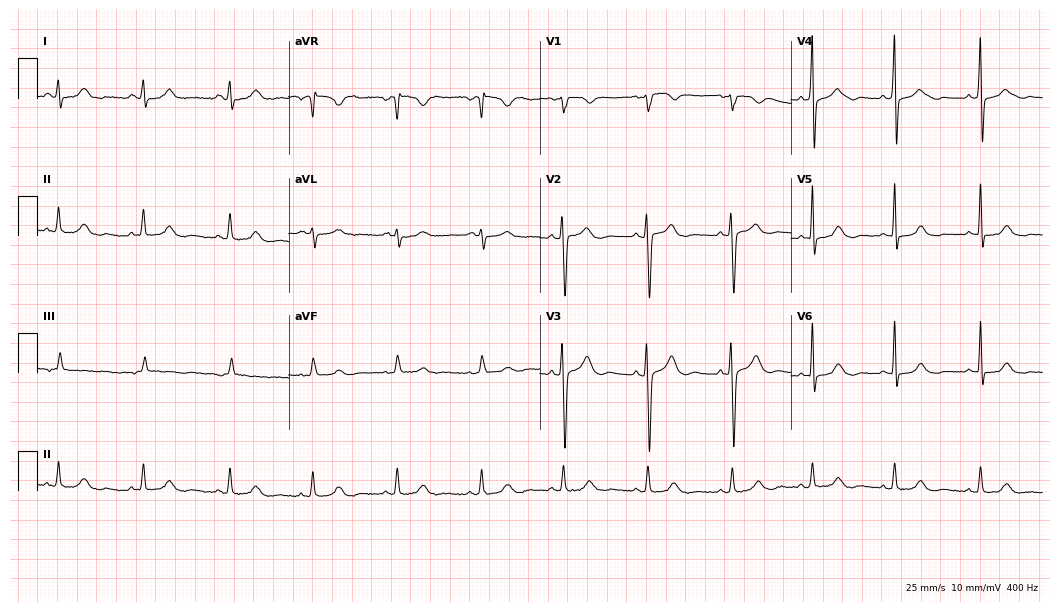
Electrocardiogram (10.2-second recording at 400 Hz), a 24-year-old female. Overall reading on record: normal ECG.